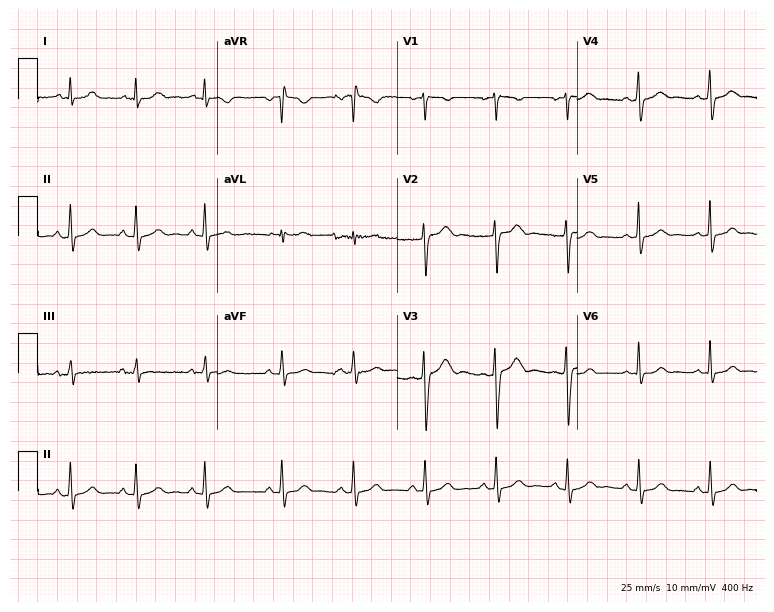
12-lead ECG from a female patient, 23 years old. No first-degree AV block, right bundle branch block, left bundle branch block, sinus bradycardia, atrial fibrillation or sinus tachycardia recorded for this tracing. Findings outside these six are not listed.